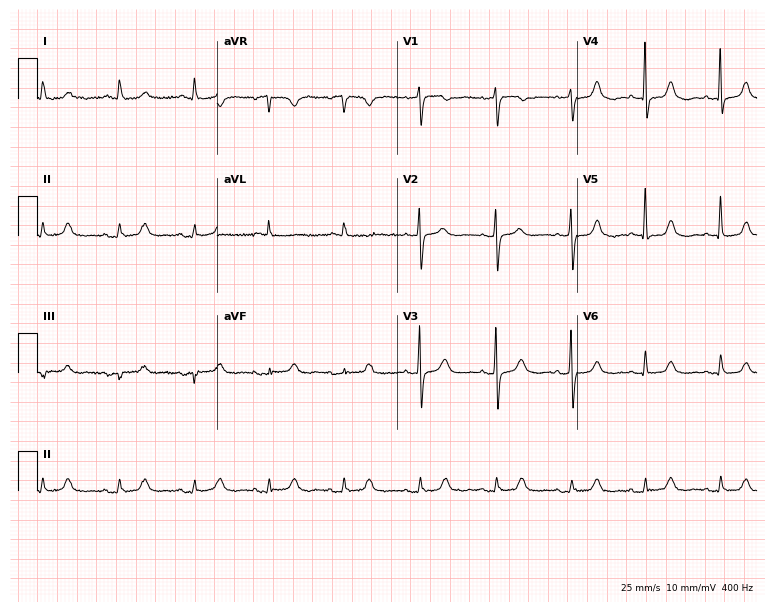
12-lead ECG from a woman, 85 years old (7.3-second recording at 400 Hz). Recorded interpretation: within normal limits.